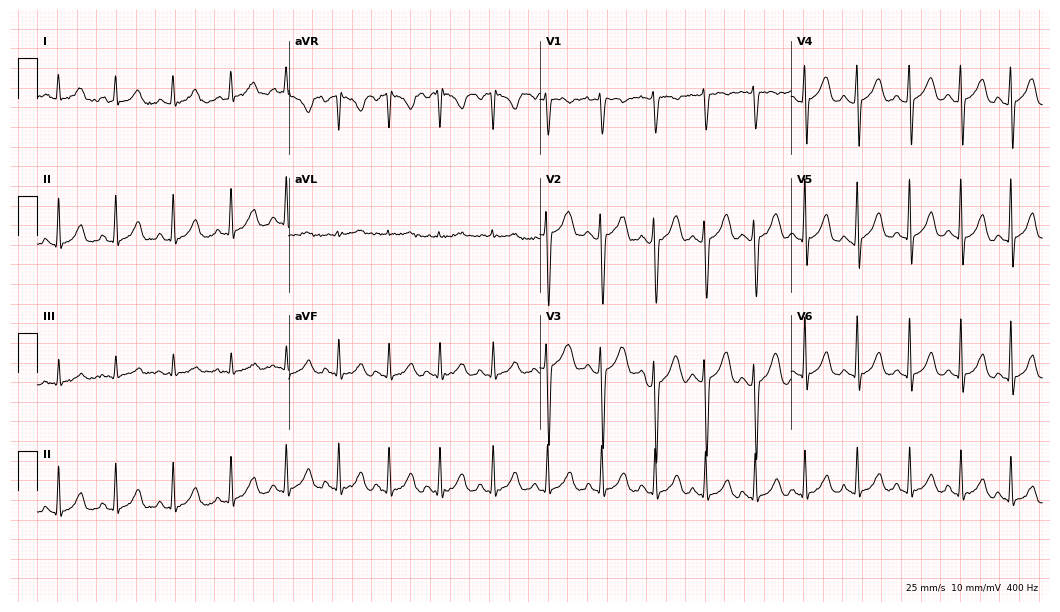
Resting 12-lead electrocardiogram (10.2-second recording at 400 Hz). Patient: a 17-year-old female. None of these six findings is recorded: first-degree AV block, right bundle branch block, left bundle branch block, sinus bradycardia, atrial fibrillation, sinus tachycardia.